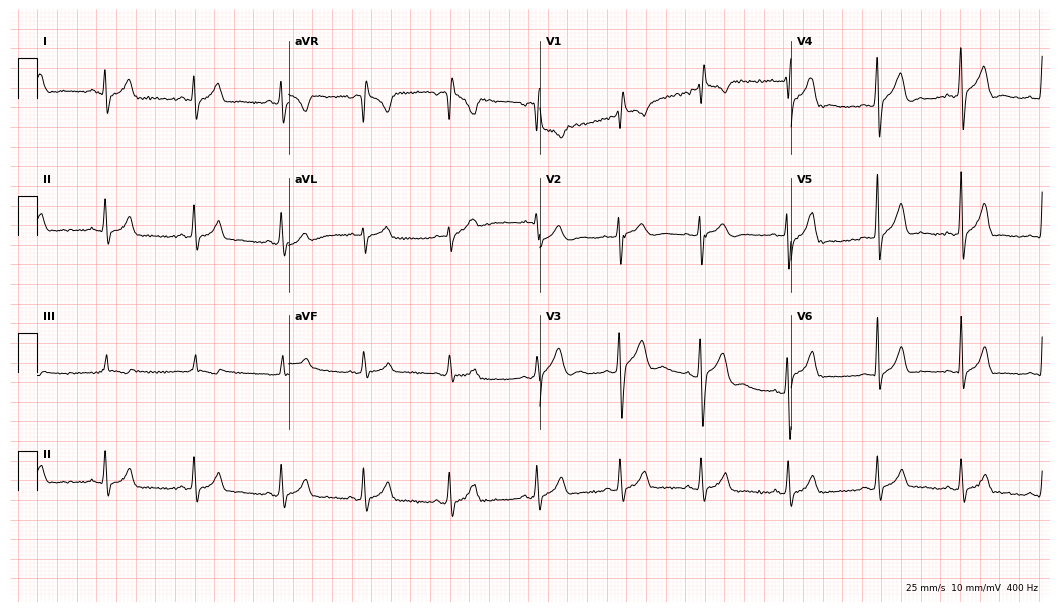
Resting 12-lead electrocardiogram. Patient: a male, 24 years old. None of these six findings is recorded: first-degree AV block, right bundle branch block, left bundle branch block, sinus bradycardia, atrial fibrillation, sinus tachycardia. Other findings, if any, are not listed.